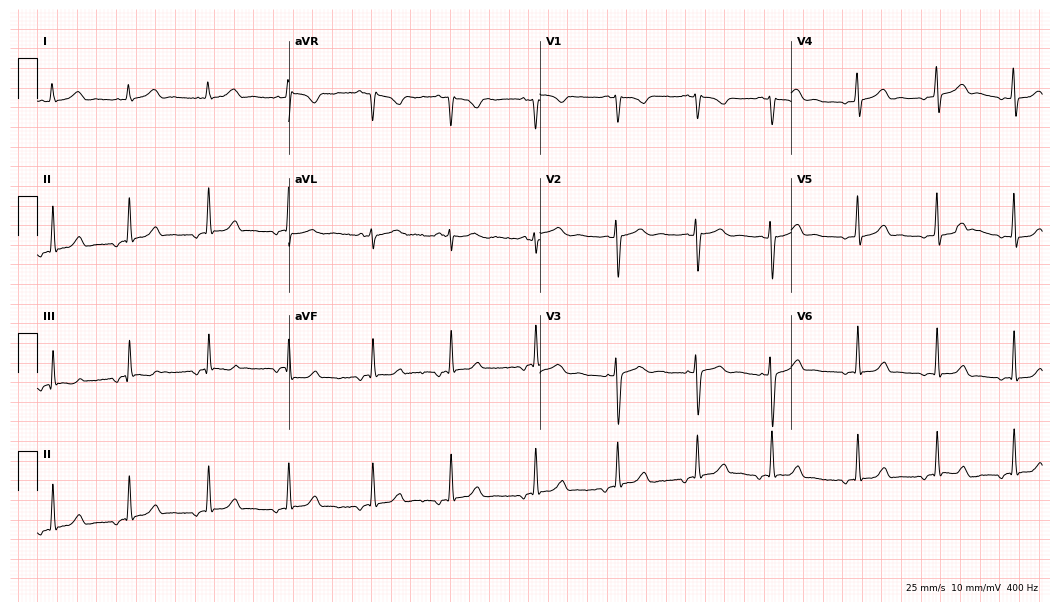
ECG (10.2-second recording at 400 Hz) — a female patient, 22 years old. Screened for six findings — first-degree AV block, right bundle branch block, left bundle branch block, sinus bradycardia, atrial fibrillation, sinus tachycardia — none is recorded. Other findings, if any, are not listed.